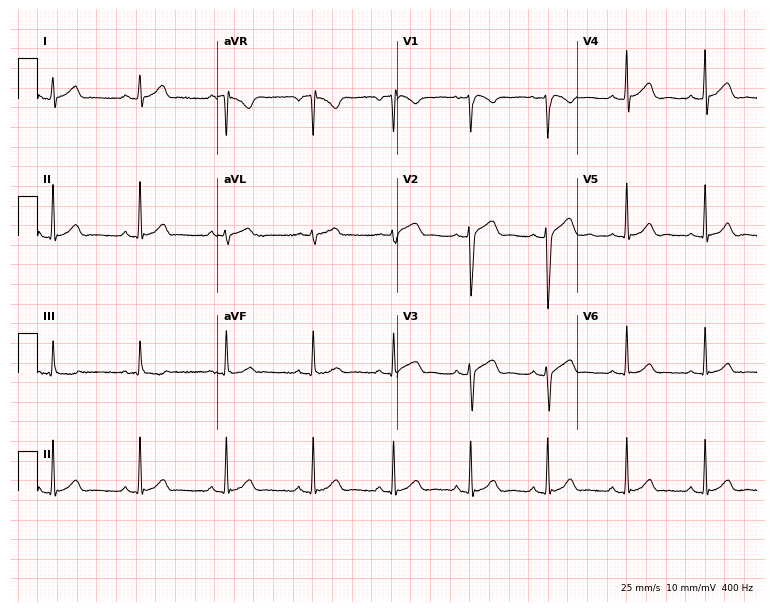
12-lead ECG from a male patient, 30 years old. Recorded interpretation: within normal limits.